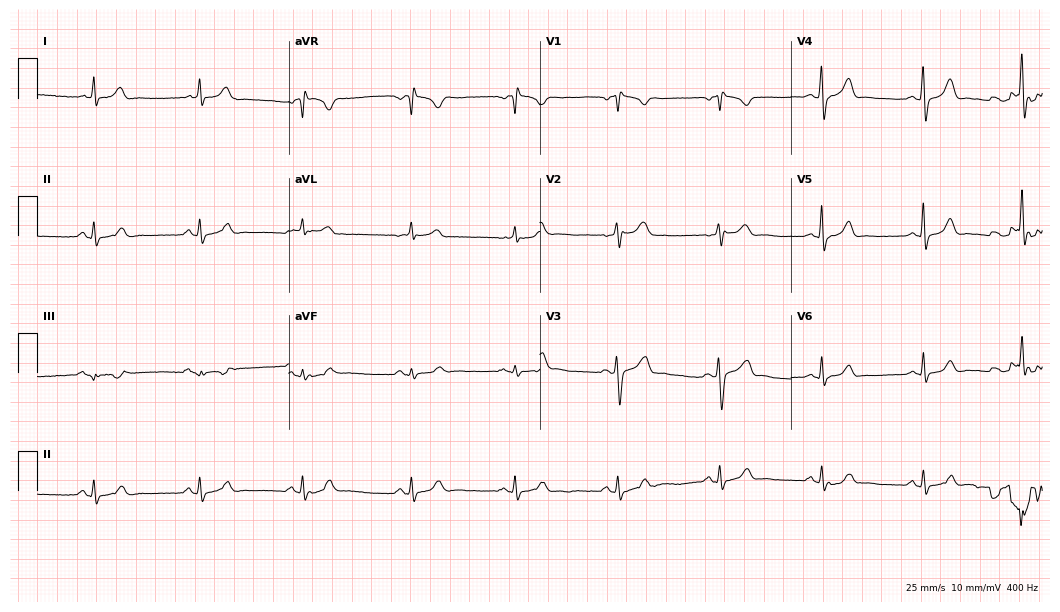
Standard 12-lead ECG recorded from a 40-year-old female (10.2-second recording at 400 Hz). Read as a normal ECG.